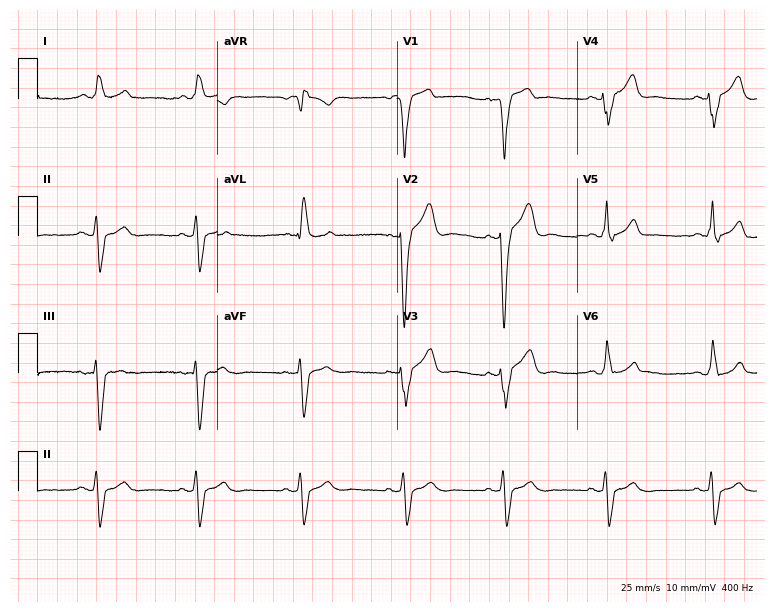
Resting 12-lead electrocardiogram. Patient: a 74-year-old male. The tracing shows left bundle branch block.